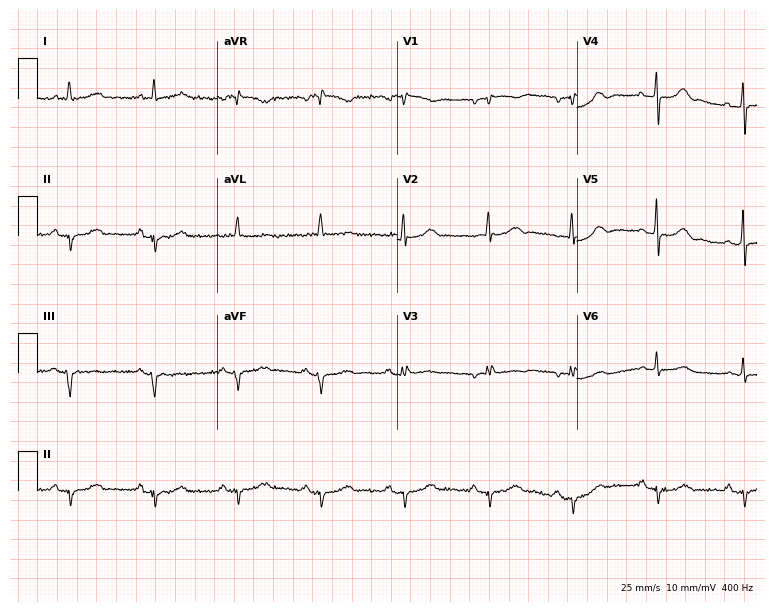
Resting 12-lead electrocardiogram. Patient: an 82-year-old woman. None of these six findings is recorded: first-degree AV block, right bundle branch block, left bundle branch block, sinus bradycardia, atrial fibrillation, sinus tachycardia.